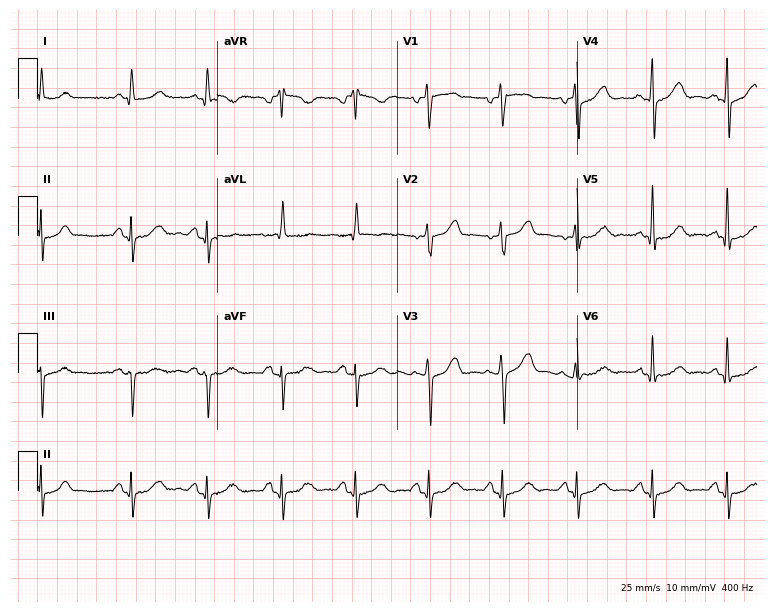
Electrocardiogram (7.3-second recording at 400 Hz), a 78-year-old woman. Of the six screened findings (first-degree AV block, right bundle branch block (RBBB), left bundle branch block (LBBB), sinus bradycardia, atrial fibrillation (AF), sinus tachycardia), none is recorded. Only these six findings were labelled.